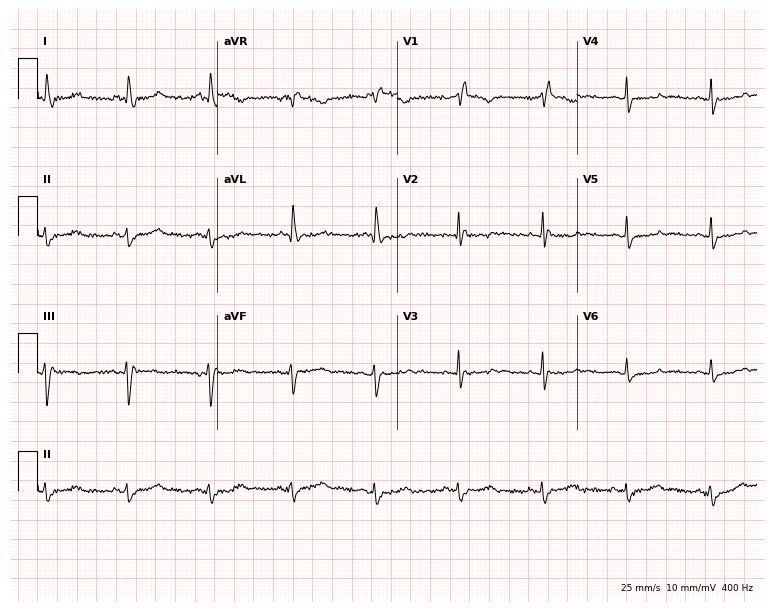
Electrocardiogram (7.3-second recording at 400 Hz), a 67-year-old woman. Interpretation includes right bundle branch block.